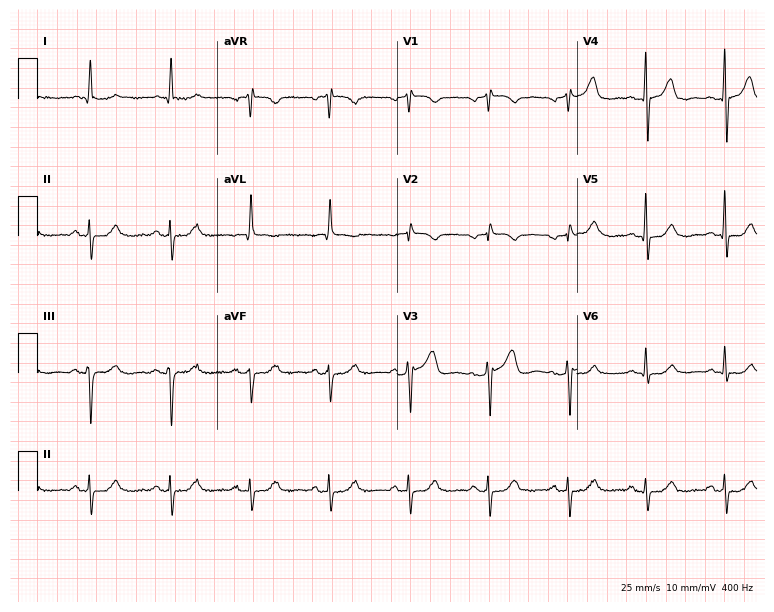
Resting 12-lead electrocardiogram. Patient: a woman, 67 years old. None of these six findings is recorded: first-degree AV block, right bundle branch block (RBBB), left bundle branch block (LBBB), sinus bradycardia, atrial fibrillation (AF), sinus tachycardia.